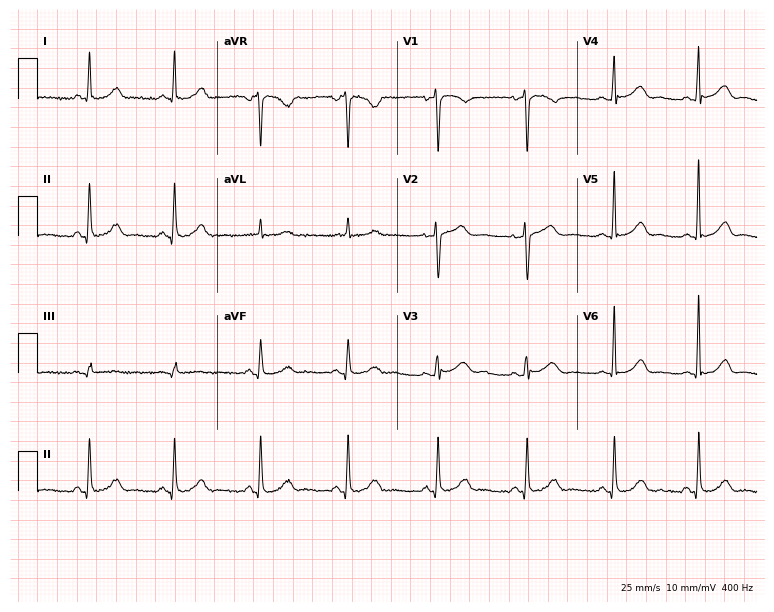
ECG — a 41-year-old female patient. Labelled as a normal ECG.